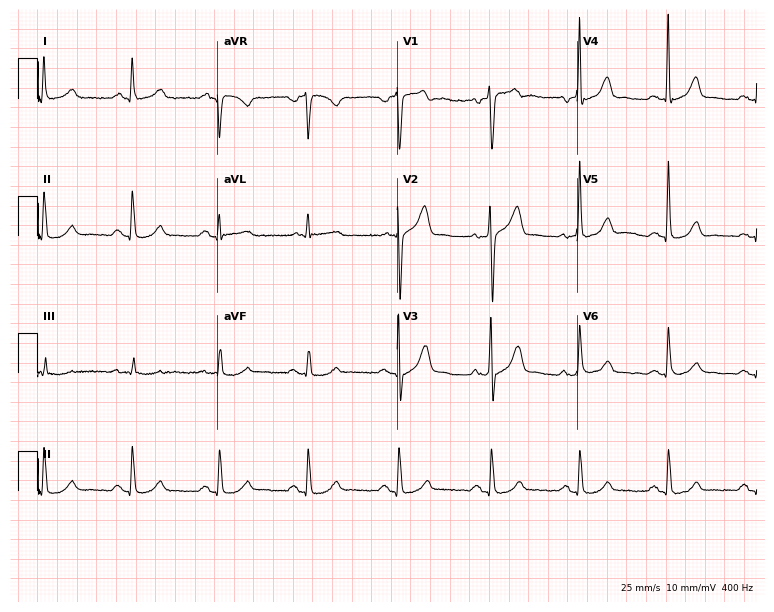
12-lead ECG from a man, 64 years old (7.3-second recording at 400 Hz). No first-degree AV block, right bundle branch block, left bundle branch block, sinus bradycardia, atrial fibrillation or sinus tachycardia recorded for this tracing.